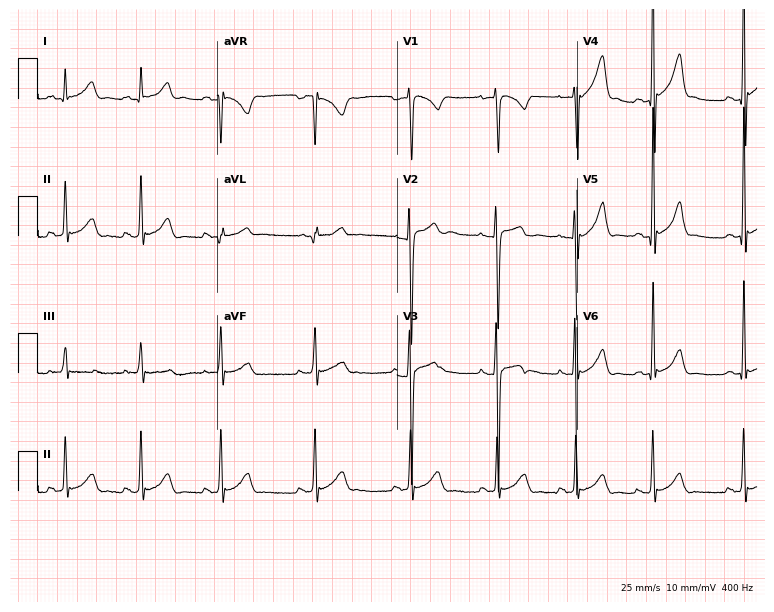
Electrocardiogram (7.3-second recording at 400 Hz), a 17-year-old male. Of the six screened findings (first-degree AV block, right bundle branch block, left bundle branch block, sinus bradycardia, atrial fibrillation, sinus tachycardia), none is recorded.